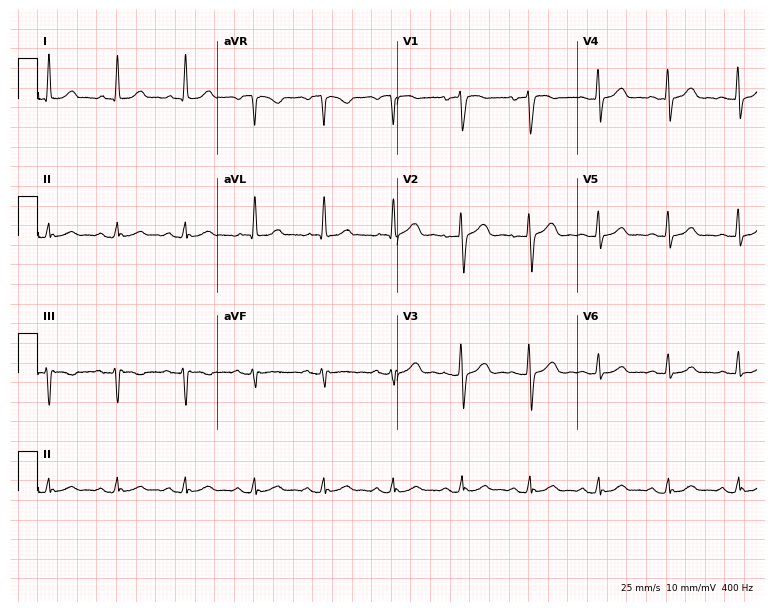
12-lead ECG (7.3-second recording at 400 Hz) from a woman, 74 years old. Labelled as a normal ECG.